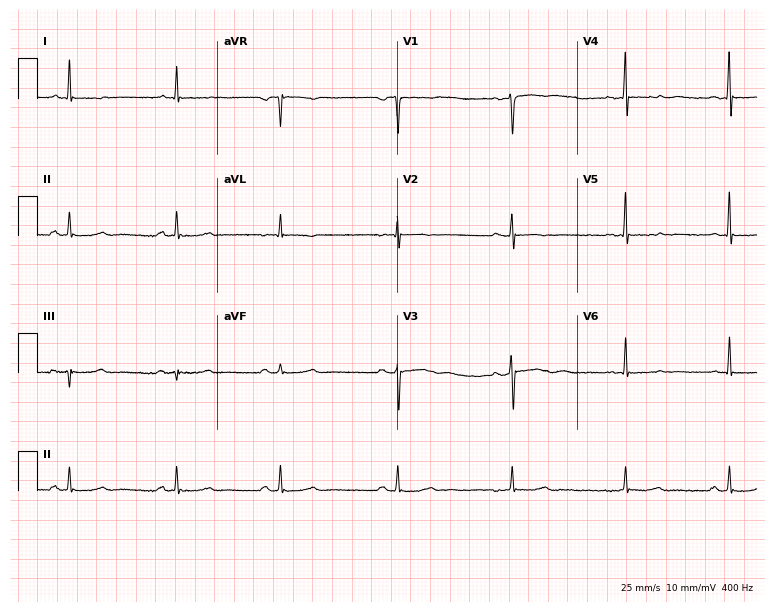
Electrocardiogram, a 53-year-old woman. Of the six screened findings (first-degree AV block, right bundle branch block, left bundle branch block, sinus bradycardia, atrial fibrillation, sinus tachycardia), none is recorded. Findings outside these six are not listed.